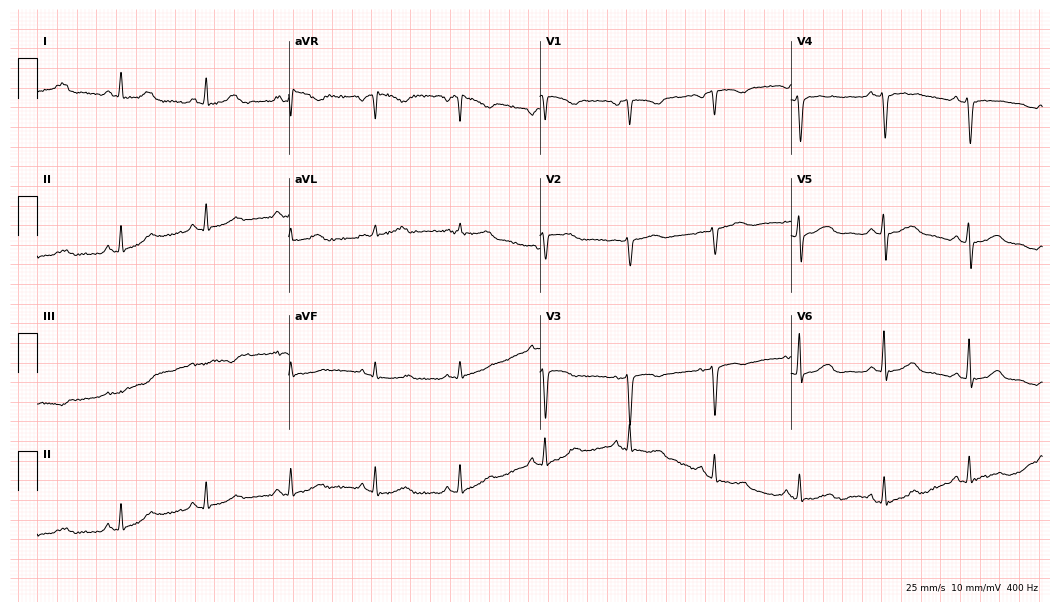
Standard 12-lead ECG recorded from a female, 52 years old (10.2-second recording at 400 Hz). None of these six findings is recorded: first-degree AV block, right bundle branch block (RBBB), left bundle branch block (LBBB), sinus bradycardia, atrial fibrillation (AF), sinus tachycardia.